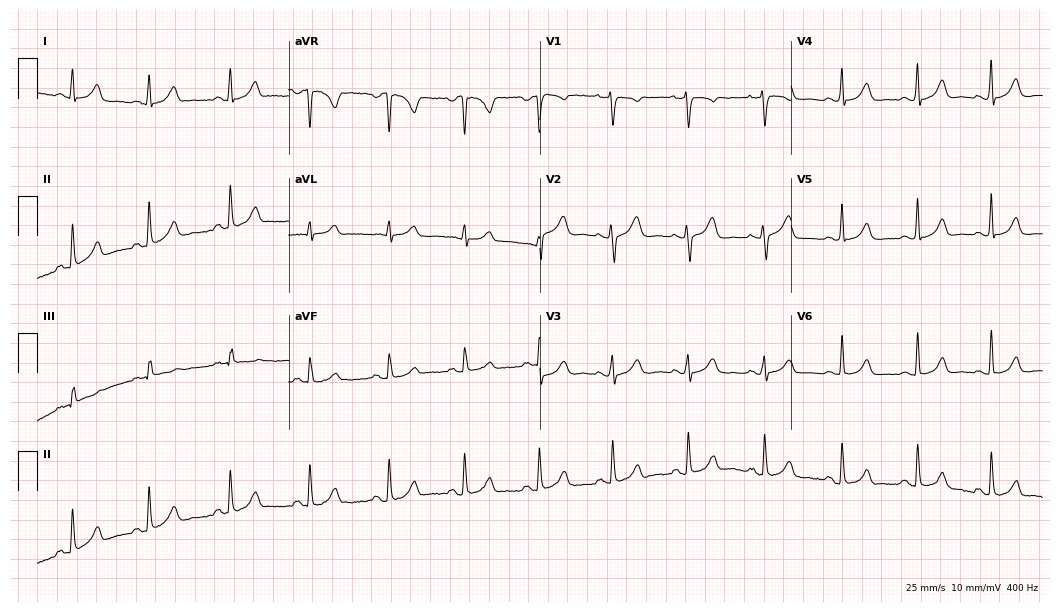
Electrocardiogram, a female patient, 41 years old. Overall reading on record: normal ECG.